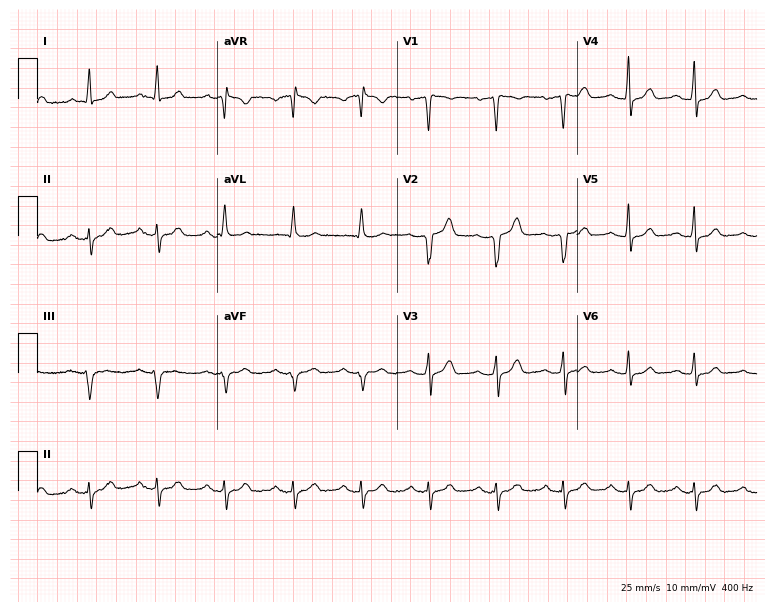
12-lead ECG (7.3-second recording at 400 Hz) from a 40-year-old male. Screened for six findings — first-degree AV block, right bundle branch block, left bundle branch block, sinus bradycardia, atrial fibrillation, sinus tachycardia — none is recorded.